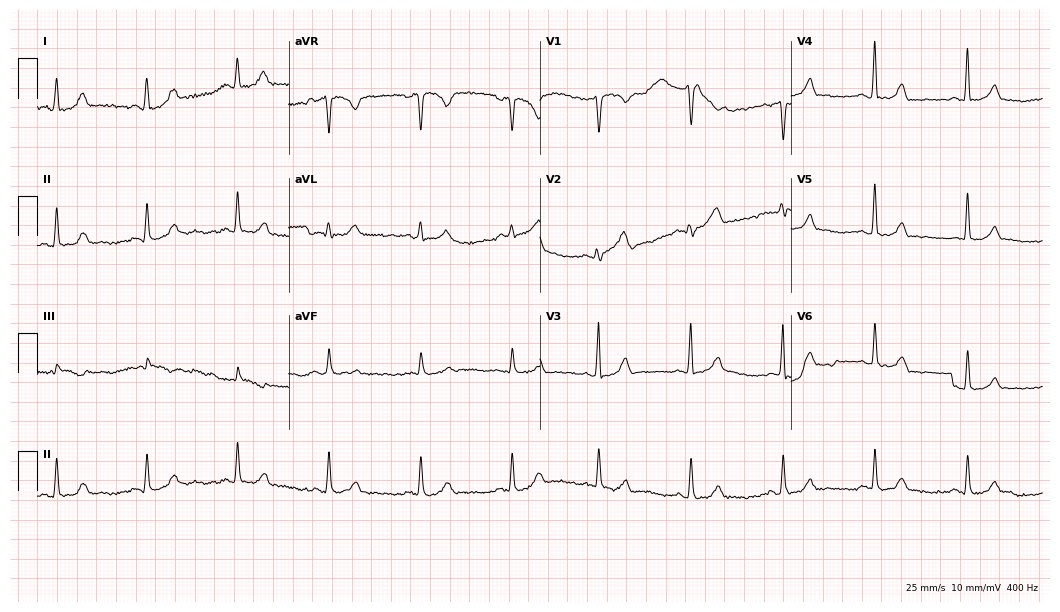
Resting 12-lead electrocardiogram. Patient: a woman, 48 years old. None of these six findings is recorded: first-degree AV block, right bundle branch block, left bundle branch block, sinus bradycardia, atrial fibrillation, sinus tachycardia.